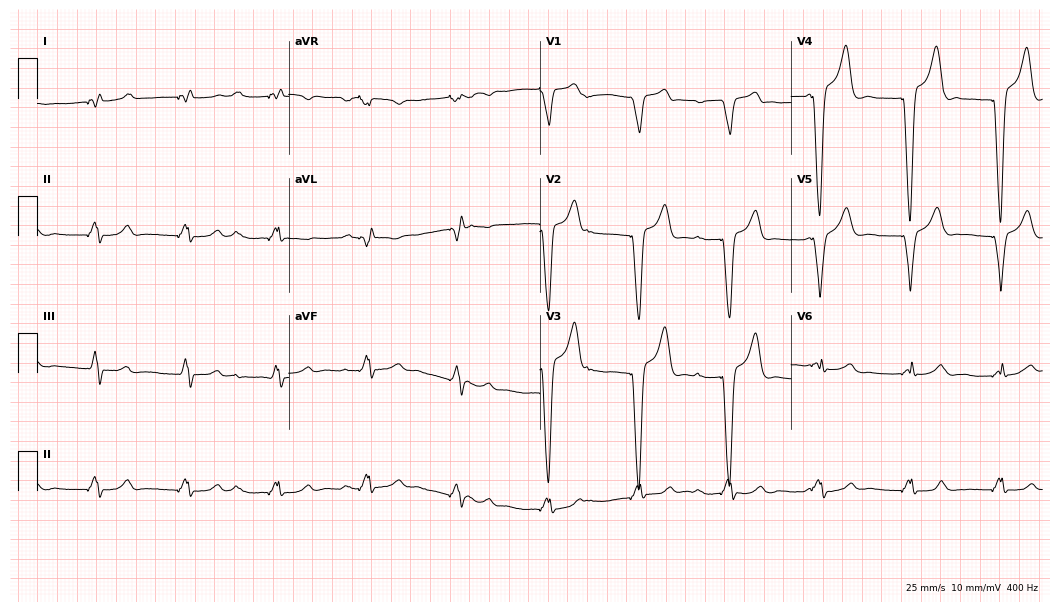
12-lead ECG from a 29-year-old woman. Screened for six findings — first-degree AV block, right bundle branch block (RBBB), left bundle branch block (LBBB), sinus bradycardia, atrial fibrillation (AF), sinus tachycardia — none is recorded. Only these six findings were labelled.